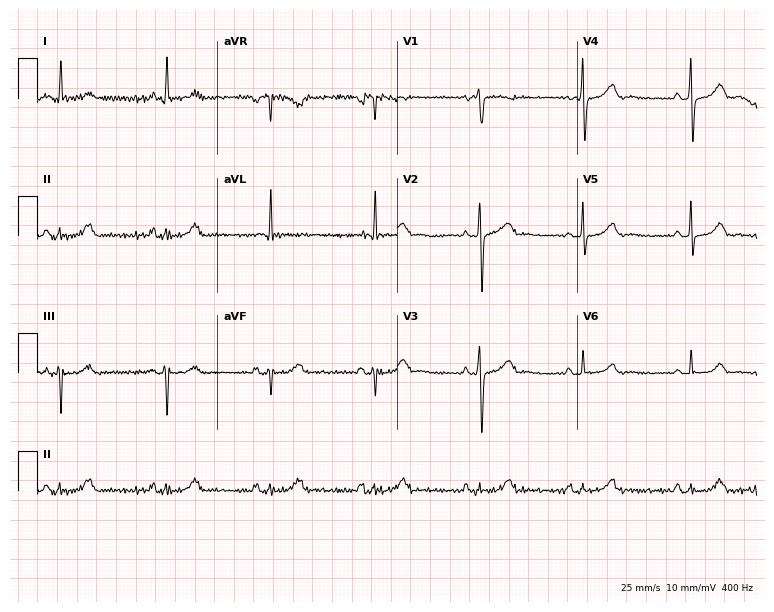
Standard 12-lead ECG recorded from a female patient, 72 years old. Read as a normal ECG.